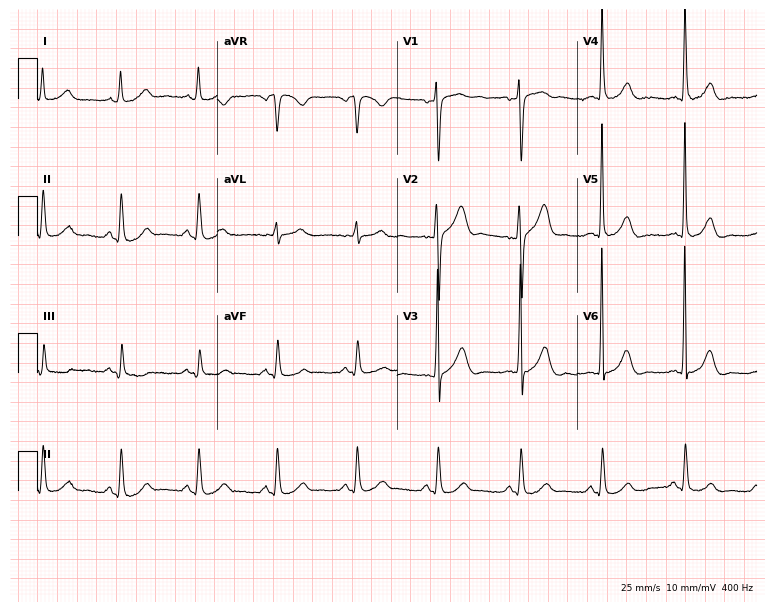
12-lead ECG (7.3-second recording at 400 Hz) from a 54-year-old male patient. Screened for six findings — first-degree AV block, right bundle branch block, left bundle branch block, sinus bradycardia, atrial fibrillation, sinus tachycardia — none is recorded.